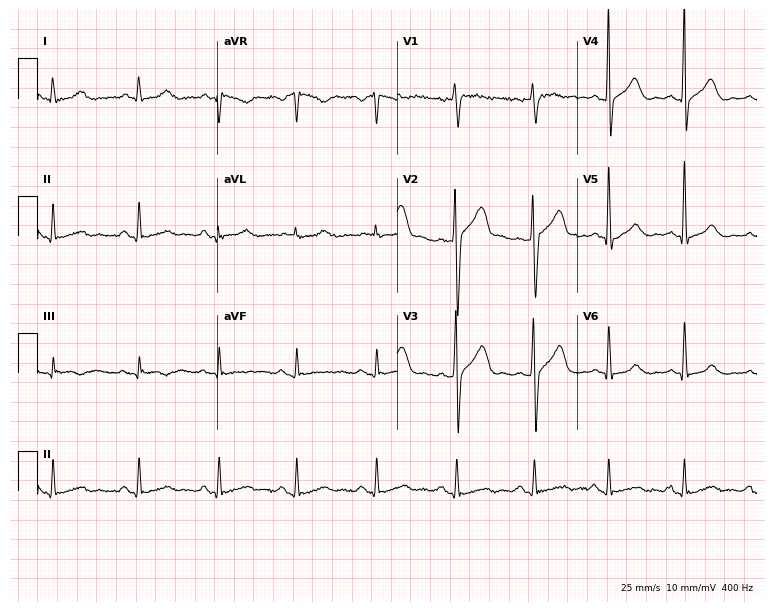
ECG (7.3-second recording at 400 Hz) — a 38-year-old man. Labelled as a normal ECG.